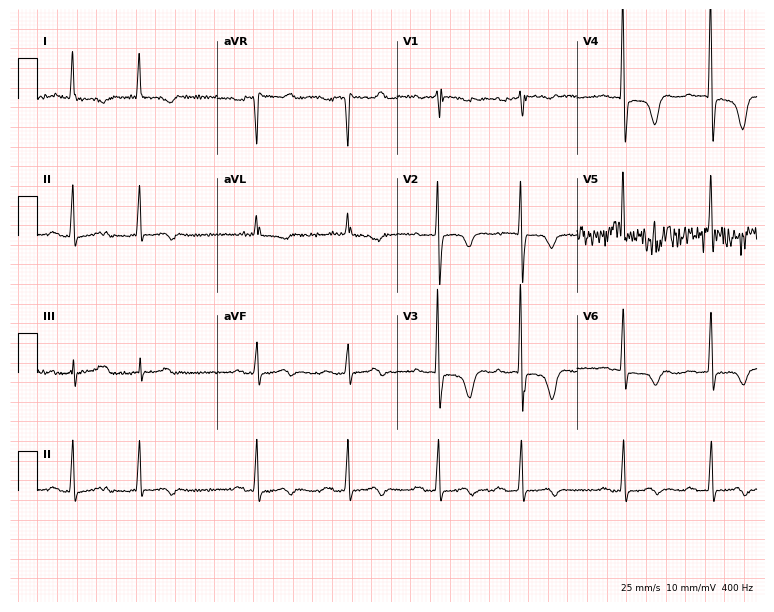
12-lead ECG (7.3-second recording at 400 Hz) from a female patient, 80 years old. Screened for six findings — first-degree AV block, right bundle branch block (RBBB), left bundle branch block (LBBB), sinus bradycardia, atrial fibrillation (AF), sinus tachycardia — none is recorded.